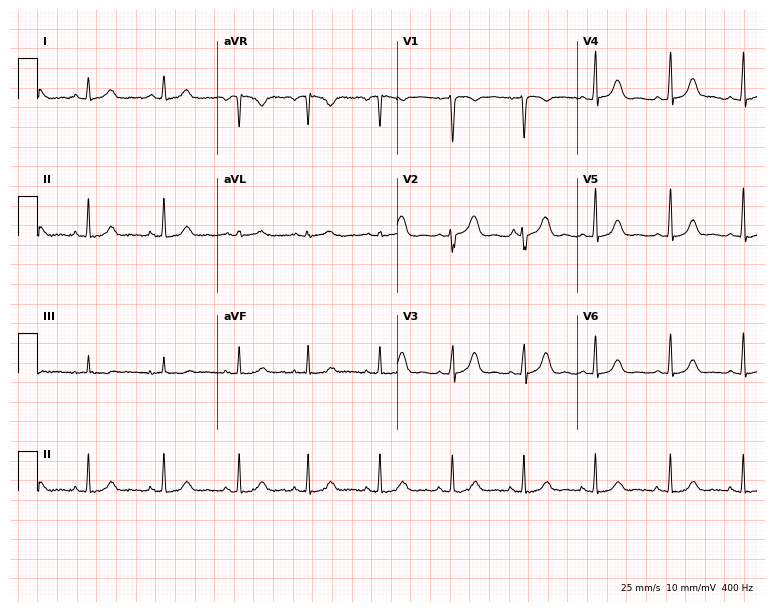
12-lead ECG (7.3-second recording at 400 Hz) from a woman, 38 years old. Labelled as a normal ECG.